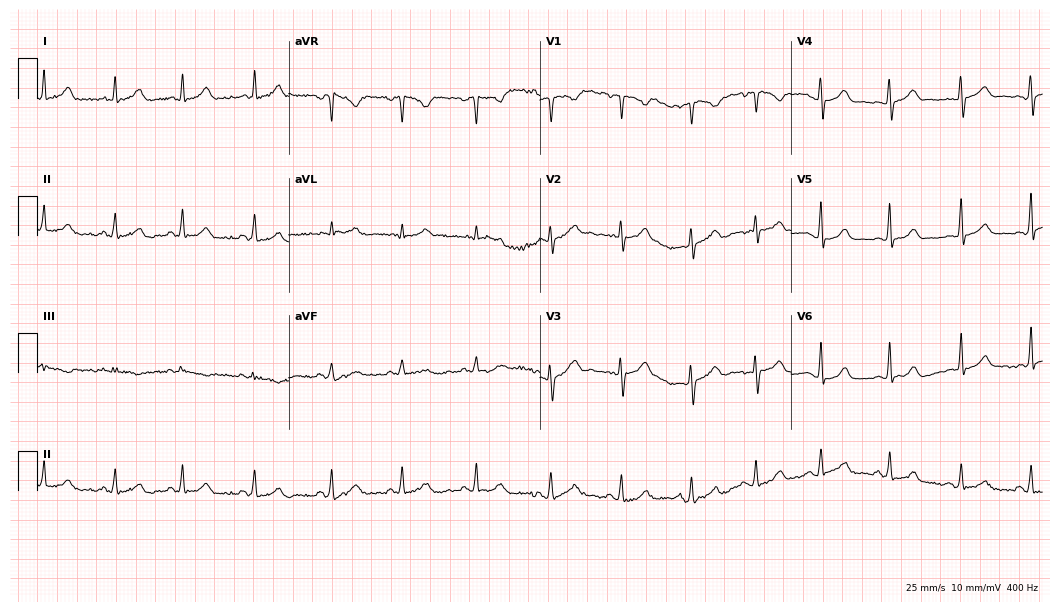
Electrocardiogram, an 18-year-old woman. Overall reading on record: normal ECG.